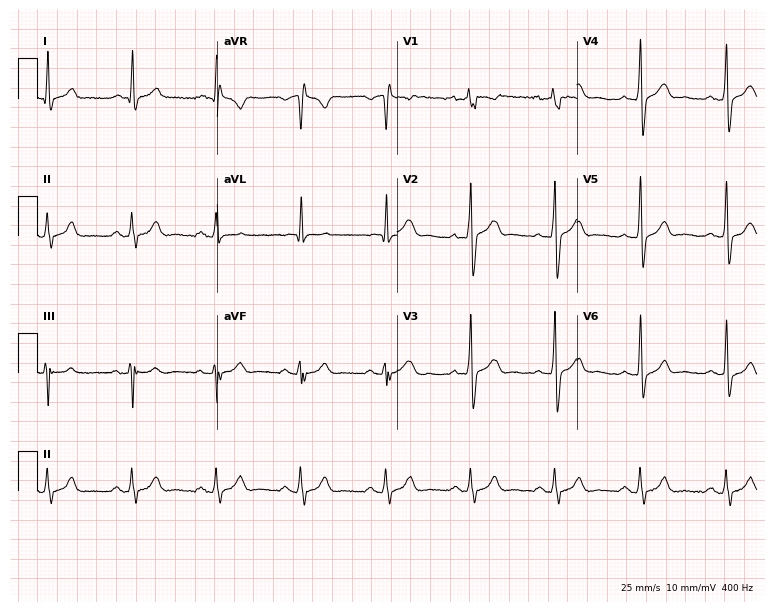
Electrocardiogram, a male patient, 40 years old. Overall reading on record: normal ECG.